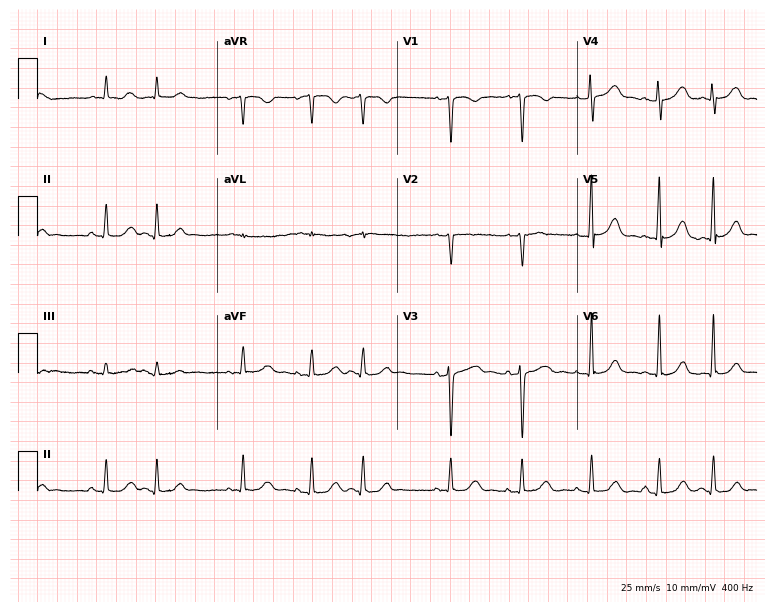
Electrocardiogram (7.3-second recording at 400 Hz), a man, 55 years old. Of the six screened findings (first-degree AV block, right bundle branch block, left bundle branch block, sinus bradycardia, atrial fibrillation, sinus tachycardia), none is recorded.